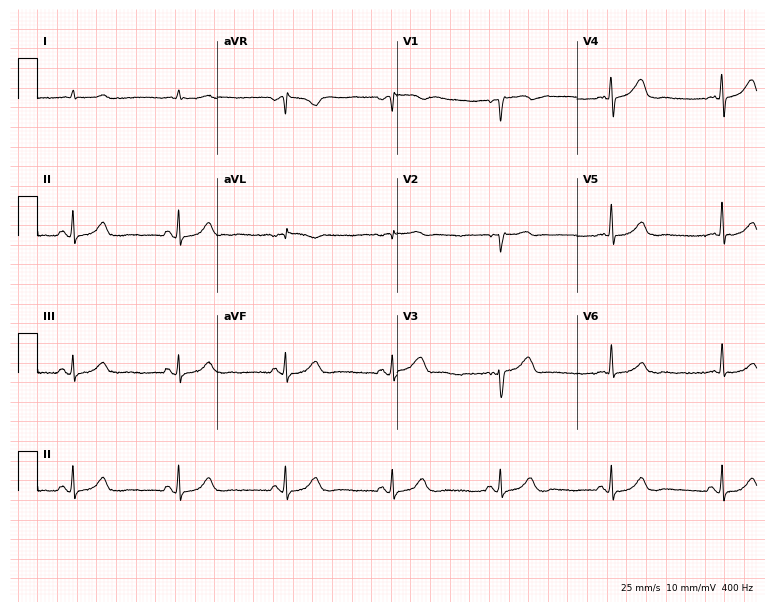
ECG — a man, 64 years old. Screened for six findings — first-degree AV block, right bundle branch block, left bundle branch block, sinus bradycardia, atrial fibrillation, sinus tachycardia — none is recorded. Findings outside these six are not listed.